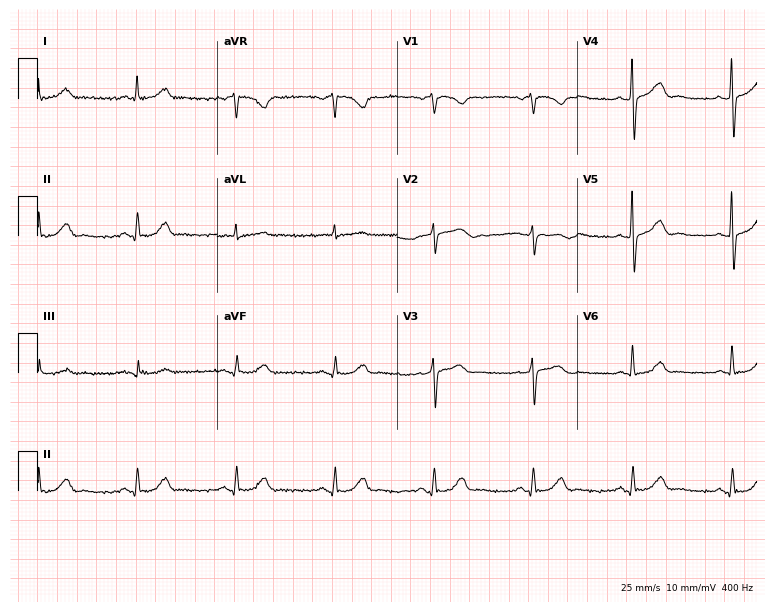
Electrocardiogram (7.3-second recording at 400 Hz), a man, 53 years old. Overall reading on record: normal ECG.